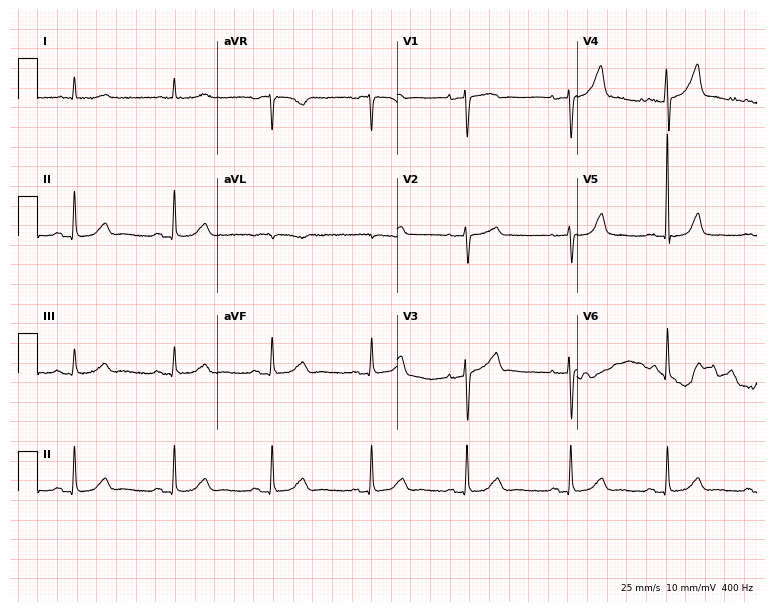
Resting 12-lead electrocardiogram. Patient: an 81-year-old woman. None of these six findings is recorded: first-degree AV block, right bundle branch block, left bundle branch block, sinus bradycardia, atrial fibrillation, sinus tachycardia. Only these six findings were labelled.